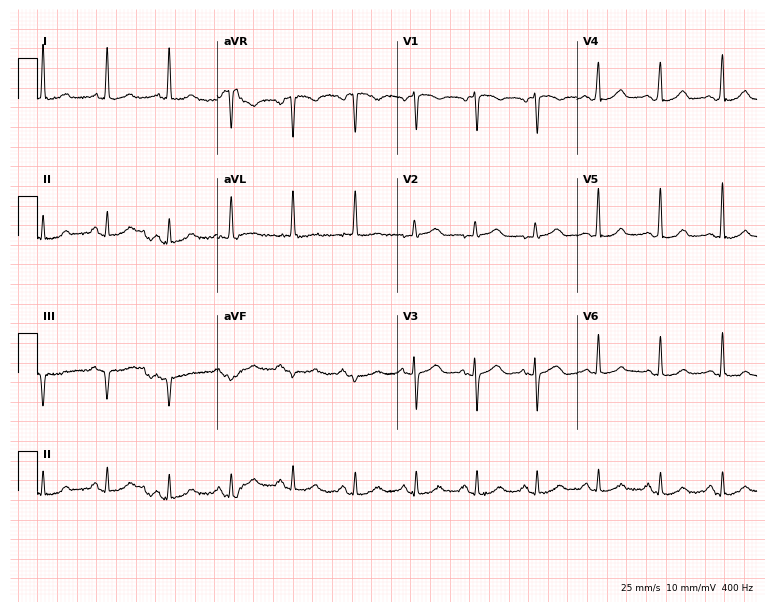
12-lead ECG from a female, 56 years old. No first-degree AV block, right bundle branch block, left bundle branch block, sinus bradycardia, atrial fibrillation or sinus tachycardia recorded for this tracing. Other findings, if any, are not listed.